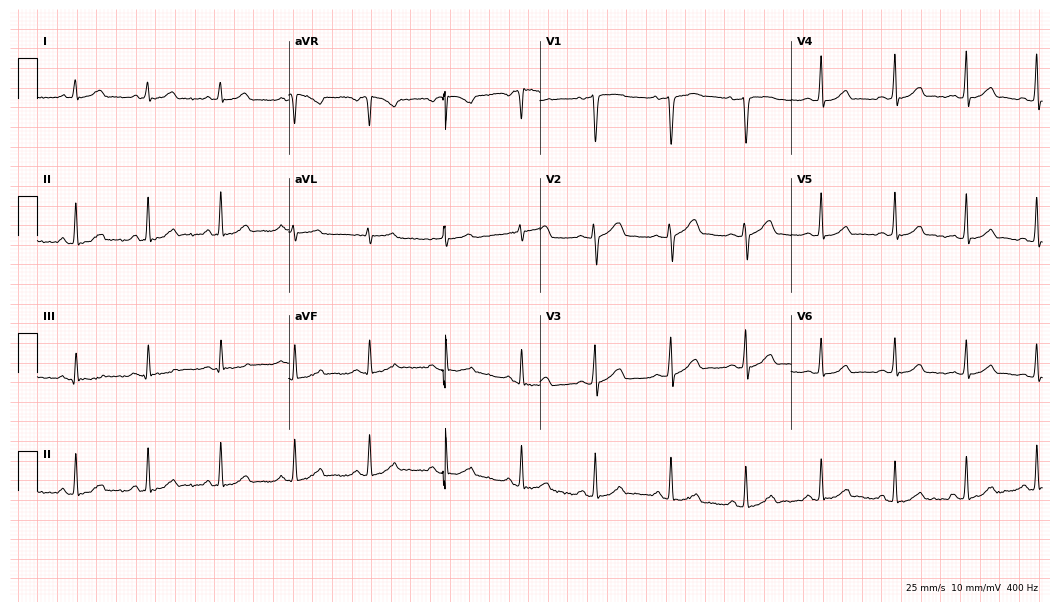
12-lead ECG from a male, 41 years old. No first-degree AV block, right bundle branch block, left bundle branch block, sinus bradycardia, atrial fibrillation or sinus tachycardia recorded for this tracing. Findings outside these six are not listed.